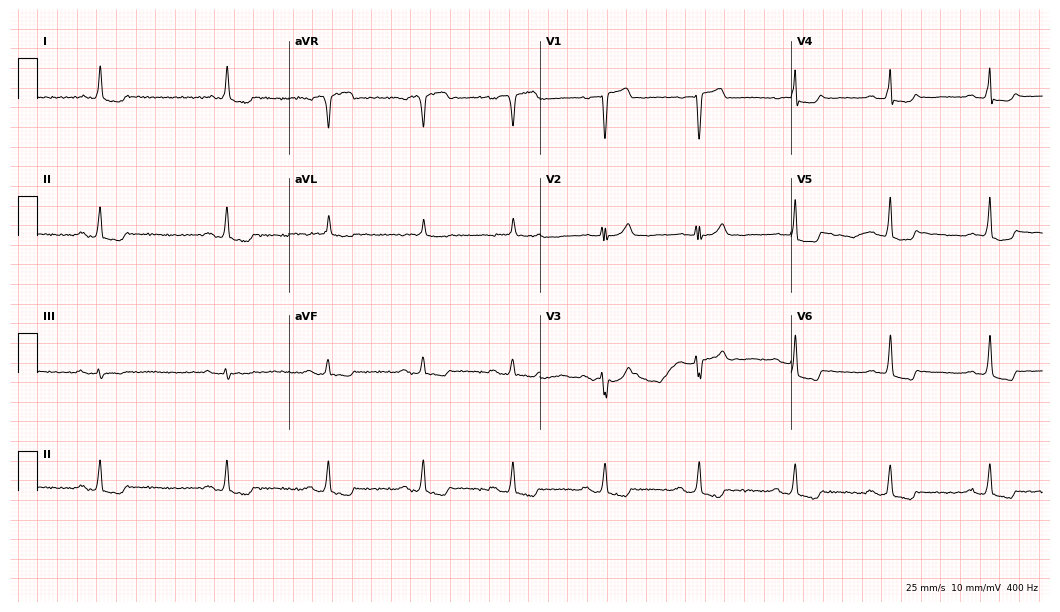
12-lead ECG from a 79-year-old female. No first-degree AV block, right bundle branch block, left bundle branch block, sinus bradycardia, atrial fibrillation or sinus tachycardia recorded for this tracing.